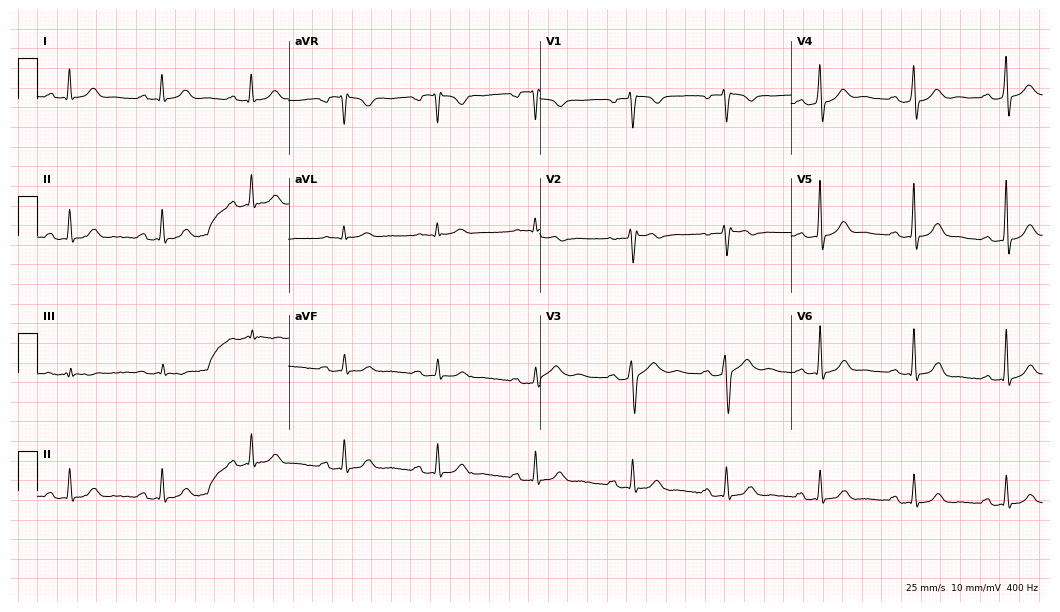
Electrocardiogram, a male patient, 48 years old. Interpretation includes first-degree AV block.